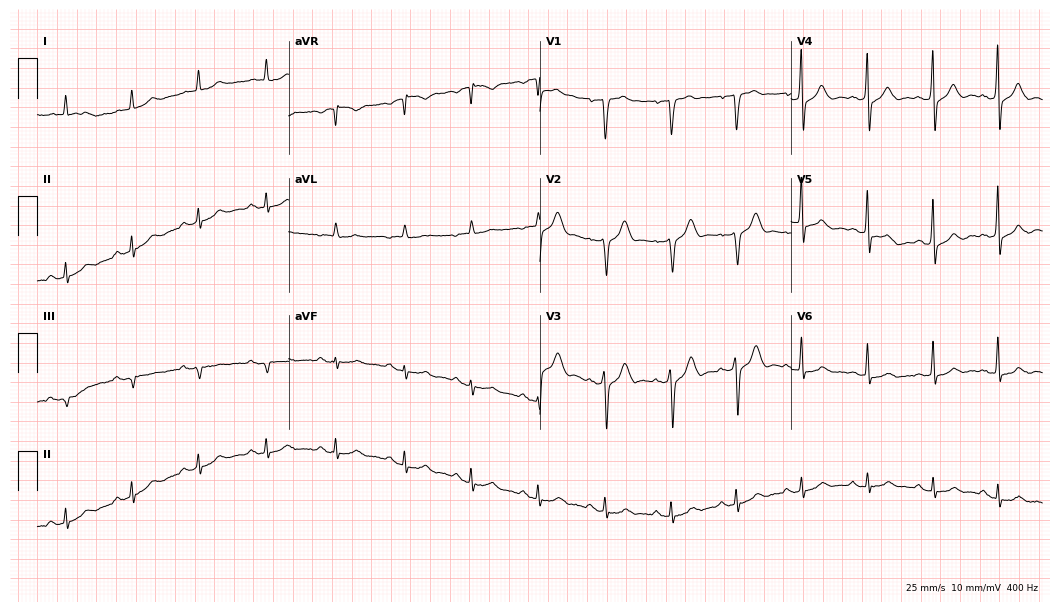
12-lead ECG (10.2-second recording at 400 Hz) from a 76-year-old male patient. Labelled as a normal ECG.